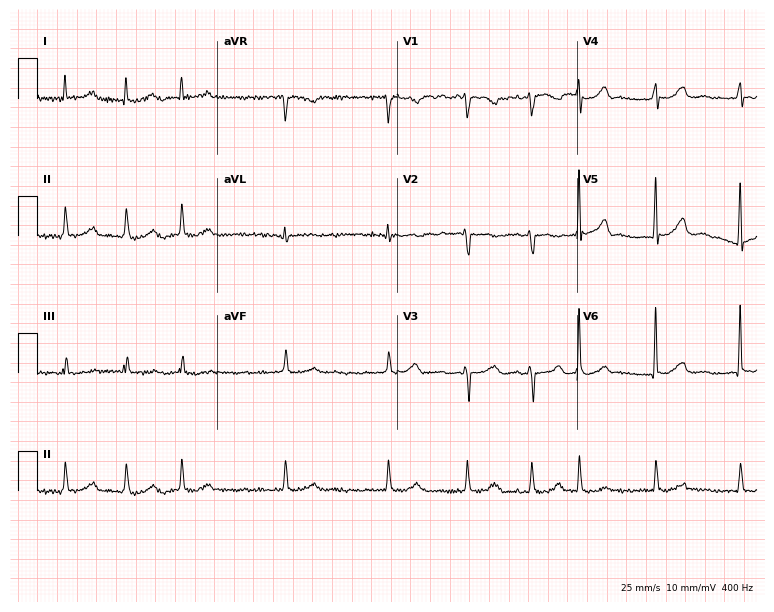
Resting 12-lead electrocardiogram (7.3-second recording at 400 Hz). Patient: a female, 81 years old. The tracing shows atrial fibrillation.